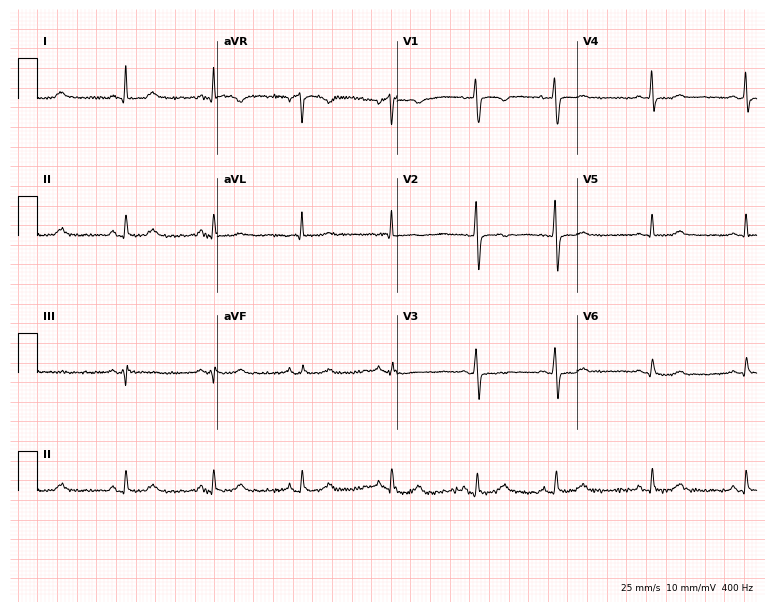
Standard 12-lead ECG recorded from a man, 45 years old. Read as a normal ECG.